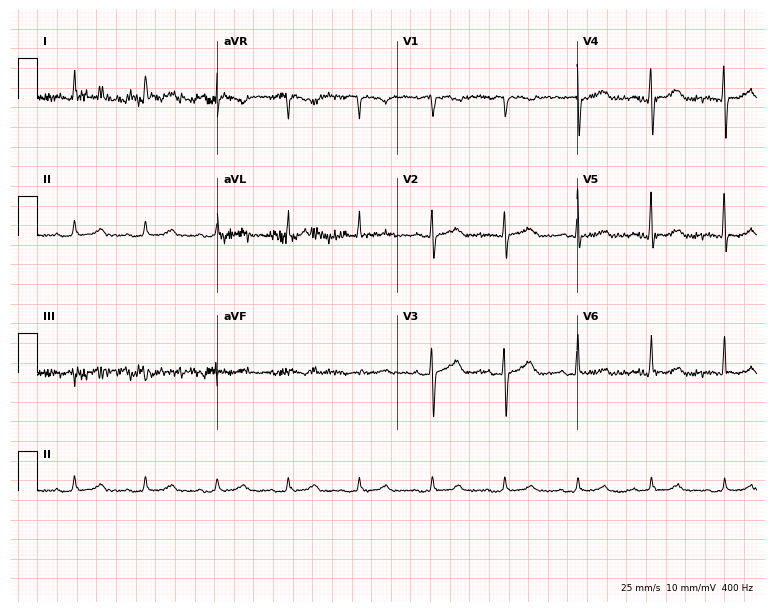
ECG — a male patient, 84 years old. Labelled as a normal ECG.